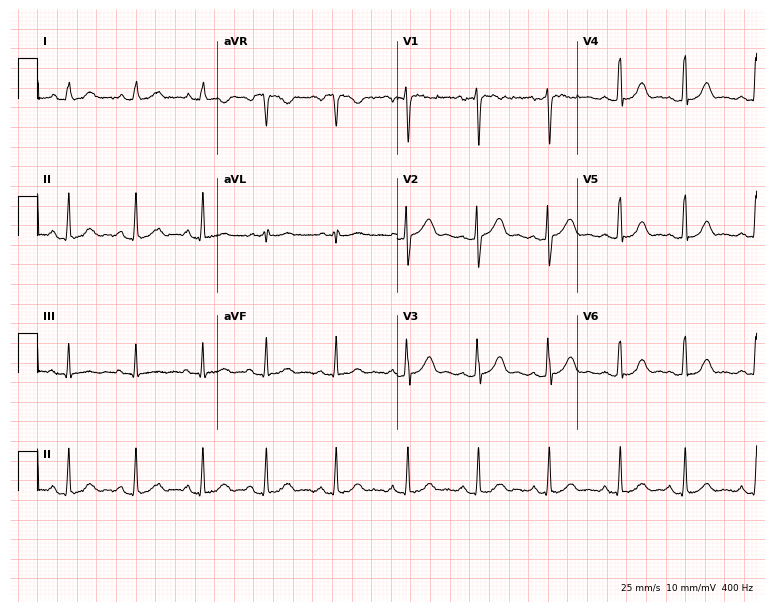
ECG — a 30-year-old female patient. Labelled as a normal ECG.